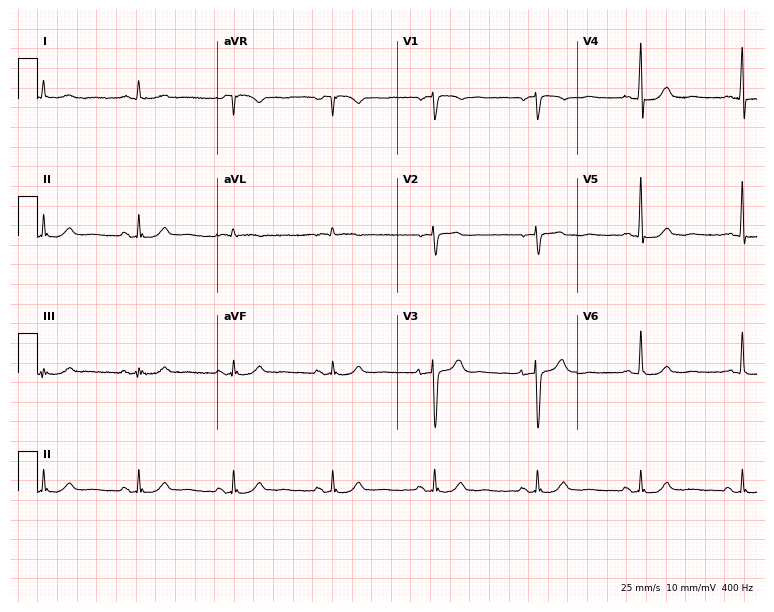
12-lead ECG from a male, 70 years old. Screened for six findings — first-degree AV block, right bundle branch block, left bundle branch block, sinus bradycardia, atrial fibrillation, sinus tachycardia — none is recorded.